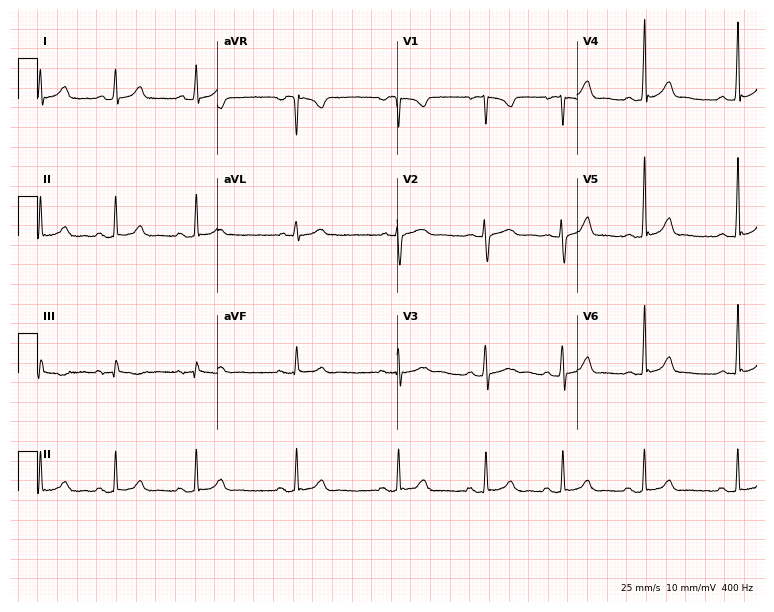
12-lead ECG from a female, 20 years old. Recorded interpretation: within normal limits.